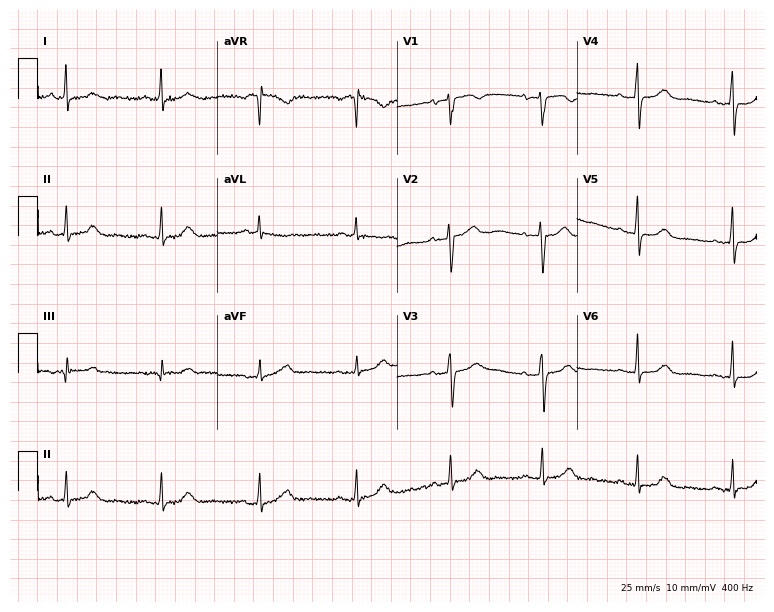
Standard 12-lead ECG recorded from a 69-year-old female patient (7.3-second recording at 400 Hz). Read as a normal ECG.